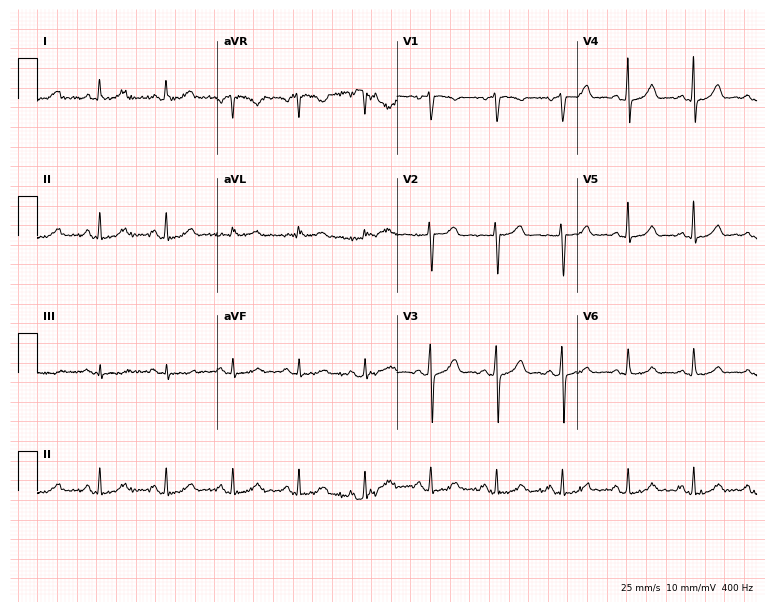
Electrocardiogram (7.3-second recording at 400 Hz), a 59-year-old female. Of the six screened findings (first-degree AV block, right bundle branch block (RBBB), left bundle branch block (LBBB), sinus bradycardia, atrial fibrillation (AF), sinus tachycardia), none is recorded.